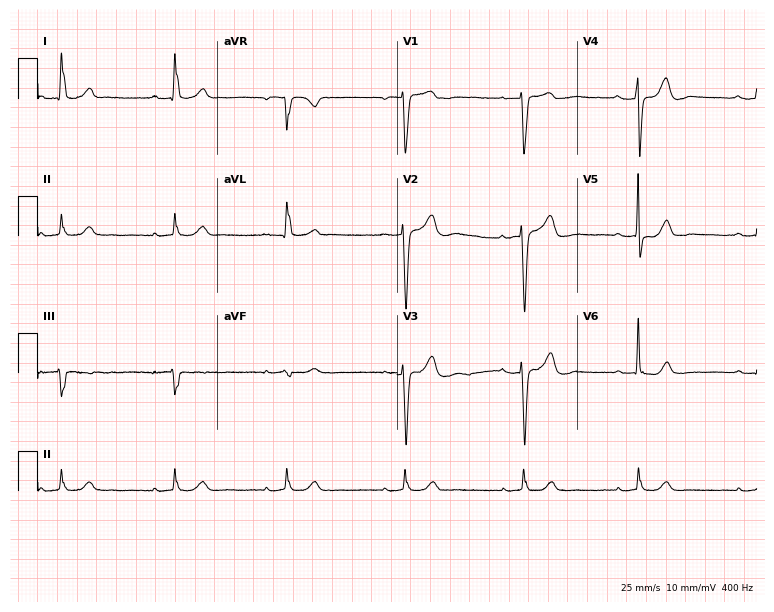
Standard 12-lead ECG recorded from a 59-year-old female. None of these six findings is recorded: first-degree AV block, right bundle branch block, left bundle branch block, sinus bradycardia, atrial fibrillation, sinus tachycardia. Findings outside these six are not listed.